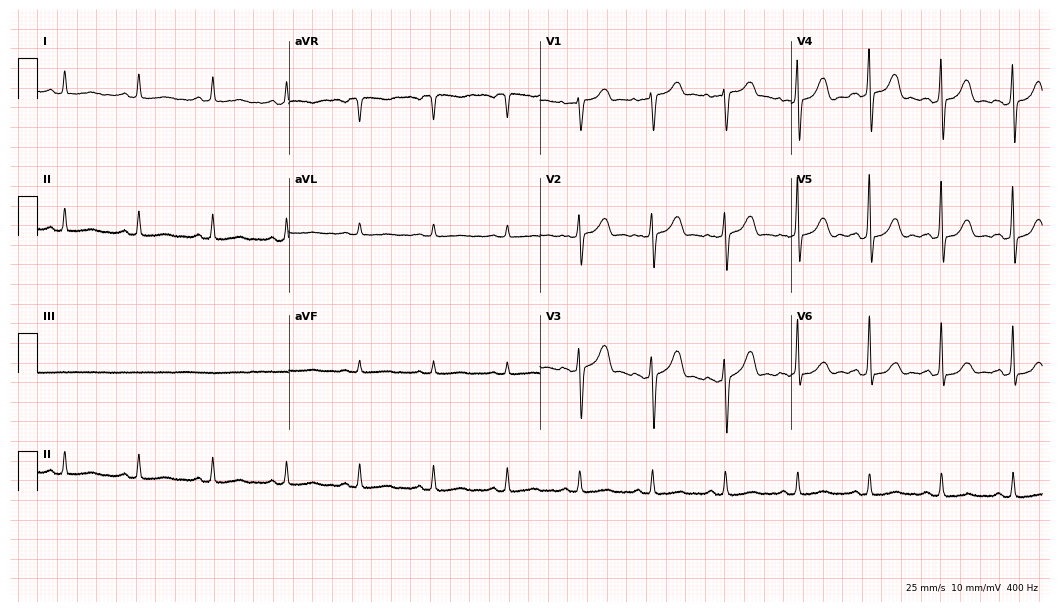
ECG (10.2-second recording at 400 Hz) — a 73-year-old female. Labelled as a normal ECG.